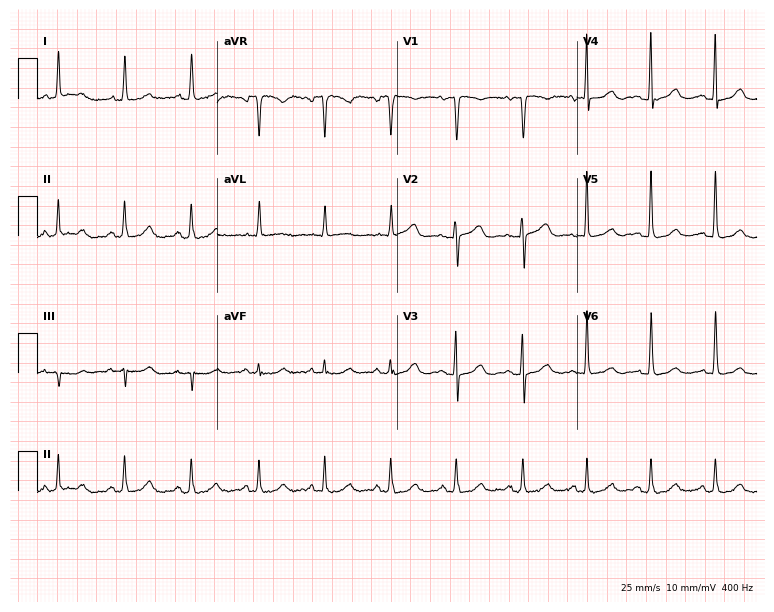
12-lead ECG (7.3-second recording at 400 Hz) from a 77-year-old woman. Screened for six findings — first-degree AV block, right bundle branch block (RBBB), left bundle branch block (LBBB), sinus bradycardia, atrial fibrillation (AF), sinus tachycardia — none is recorded.